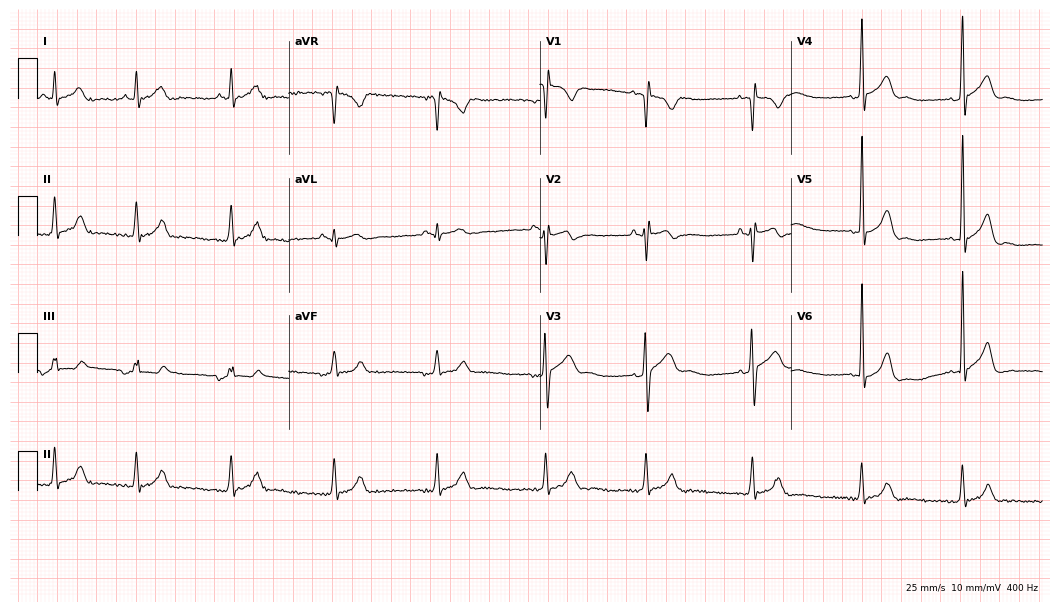
12-lead ECG (10.2-second recording at 400 Hz) from a male, 19 years old. Screened for six findings — first-degree AV block, right bundle branch block, left bundle branch block, sinus bradycardia, atrial fibrillation, sinus tachycardia — none is recorded.